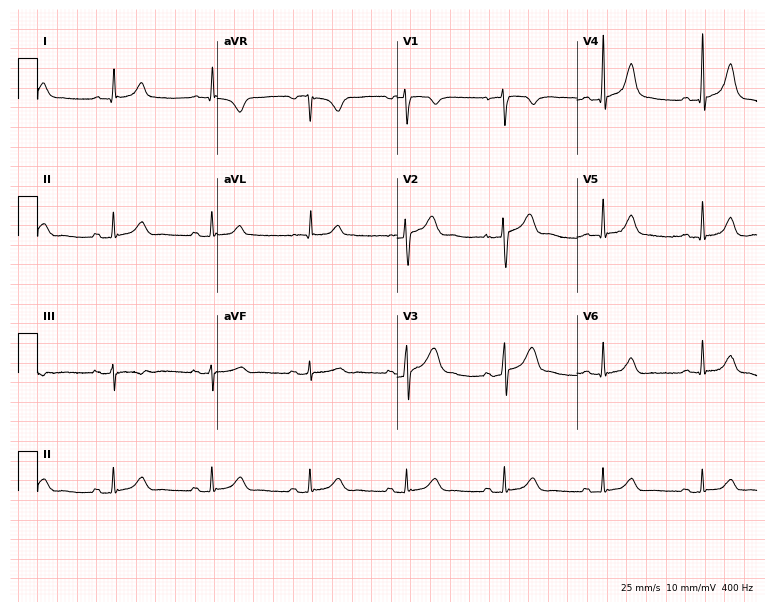
ECG (7.3-second recording at 400 Hz) — a 66-year-old male patient. Labelled as a normal ECG.